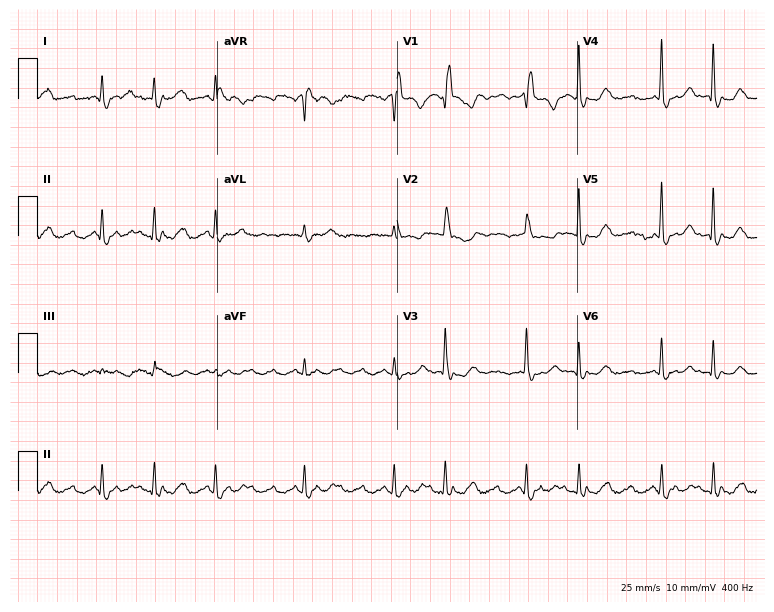
Standard 12-lead ECG recorded from a woman, 76 years old. The tracing shows right bundle branch block (RBBB), atrial fibrillation (AF).